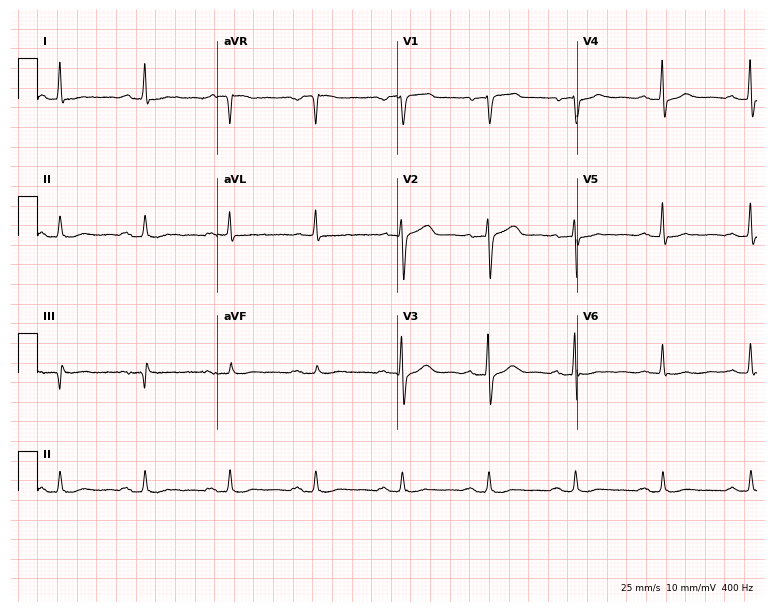
Standard 12-lead ECG recorded from a 61-year-old man (7.3-second recording at 400 Hz). The tracing shows first-degree AV block.